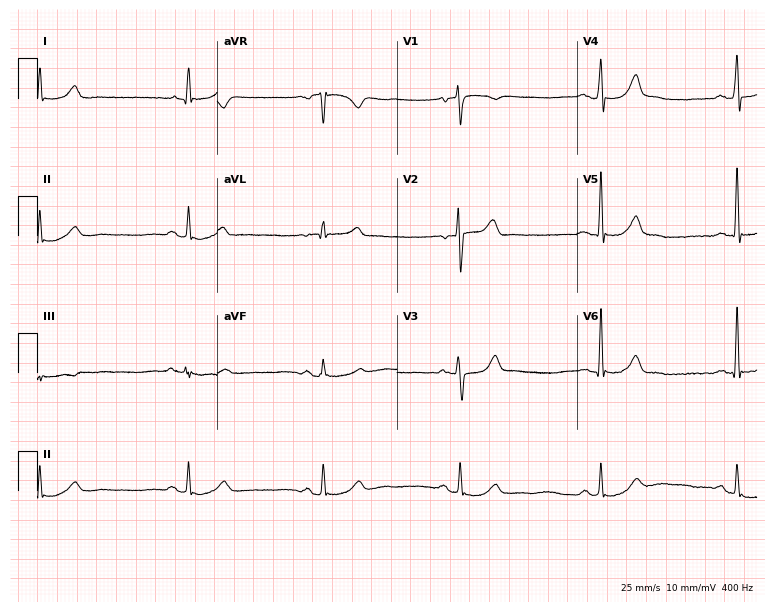
ECG — a 47-year-old male. Findings include sinus bradycardia (a sinus rate of 50 beats per minute or less).